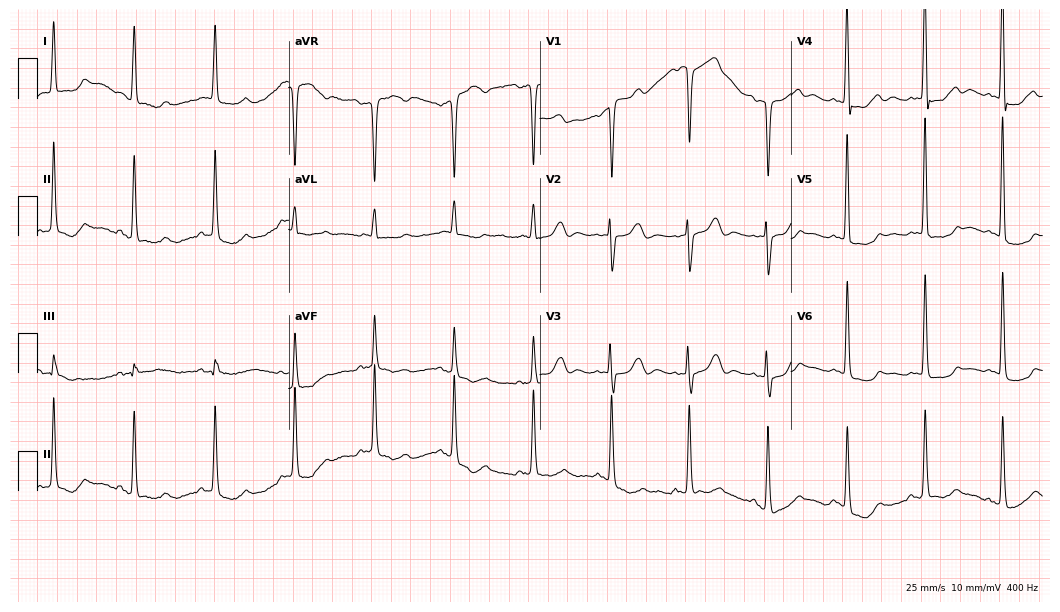
Standard 12-lead ECG recorded from a female patient, 64 years old (10.2-second recording at 400 Hz). None of these six findings is recorded: first-degree AV block, right bundle branch block, left bundle branch block, sinus bradycardia, atrial fibrillation, sinus tachycardia. Only these six findings were labelled.